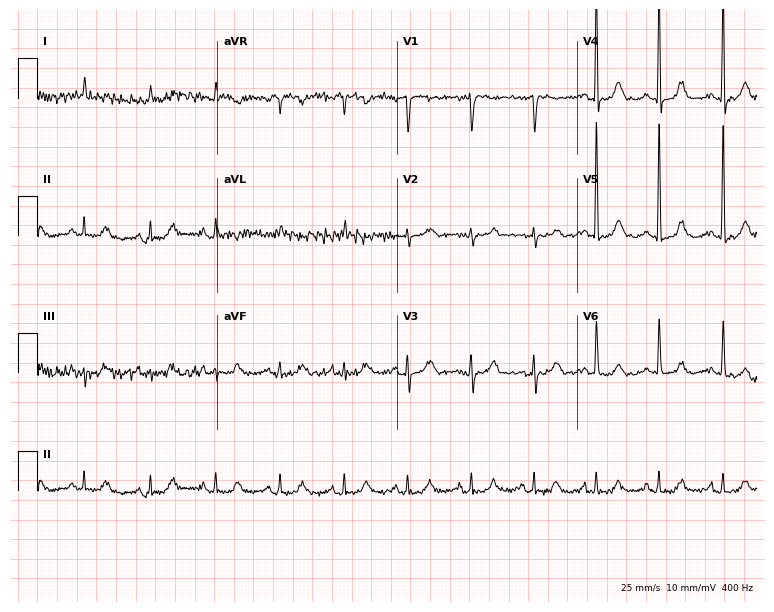
Electrocardiogram, a female, 81 years old. Of the six screened findings (first-degree AV block, right bundle branch block, left bundle branch block, sinus bradycardia, atrial fibrillation, sinus tachycardia), none is recorded. Only these six findings were labelled.